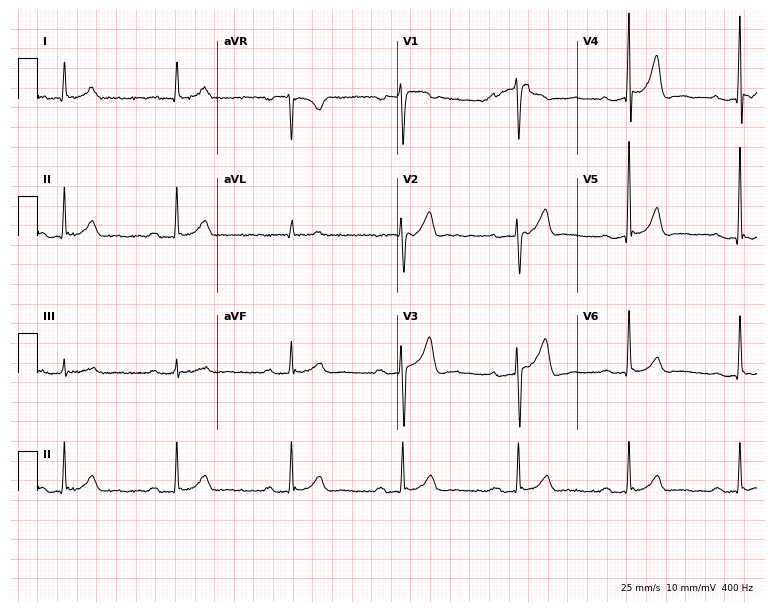
Standard 12-lead ECG recorded from a male, 67 years old (7.3-second recording at 400 Hz). None of these six findings is recorded: first-degree AV block, right bundle branch block, left bundle branch block, sinus bradycardia, atrial fibrillation, sinus tachycardia.